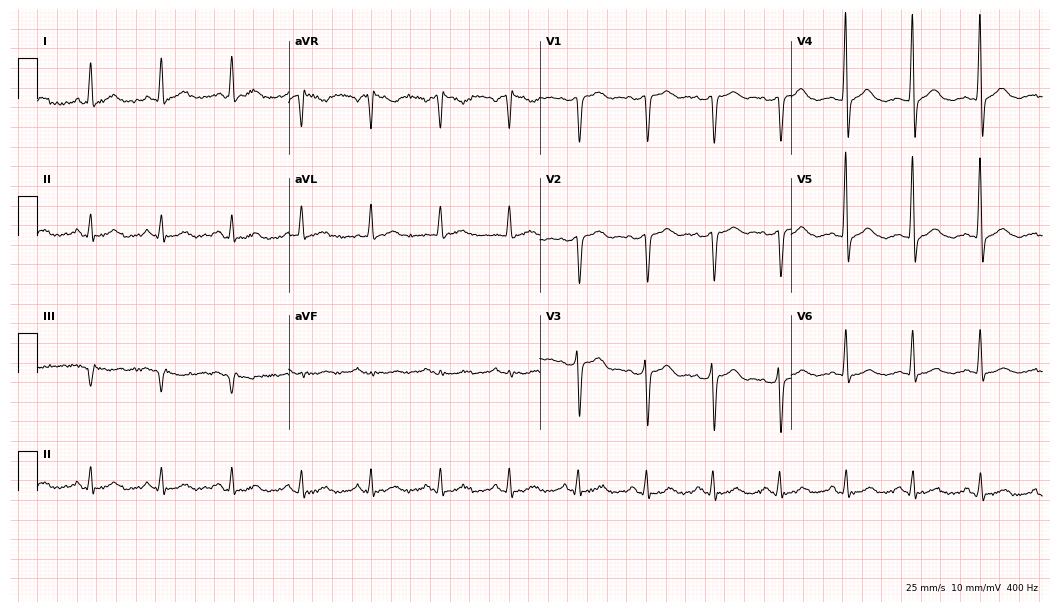
12-lead ECG (10.2-second recording at 400 Hz) from a 57-year-old man. Screened for six findings — first-degree AV block, right bundle branch block, left bundle branch block, sinus bradycardia, atrial fibrillation, sinus tachycardia — none is recorded.